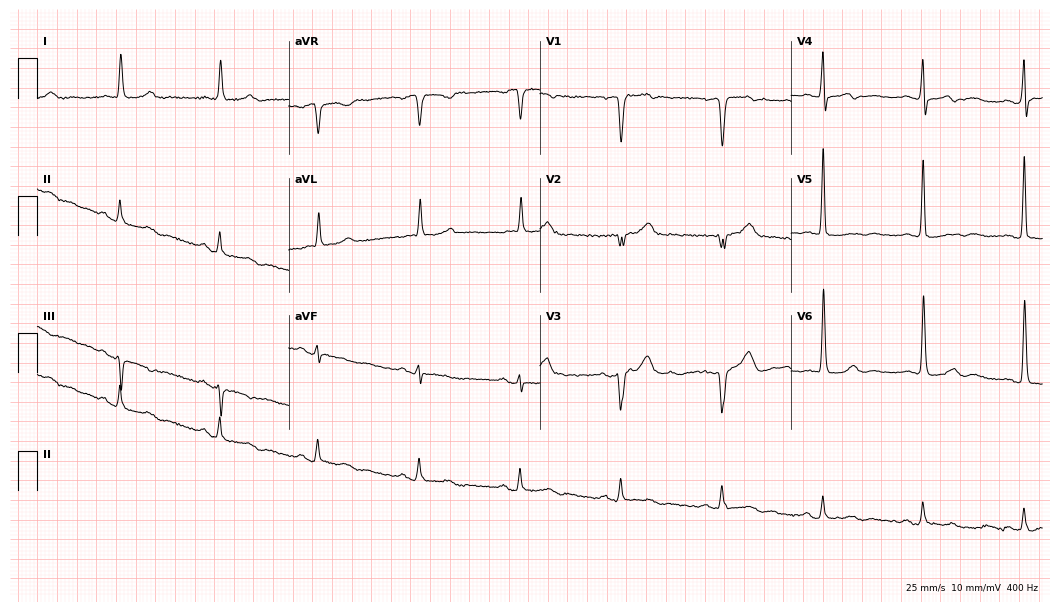
ECG (10.2-second recording at 400 Hz) — an 81-year-old male. Labelled as a normal ECG.